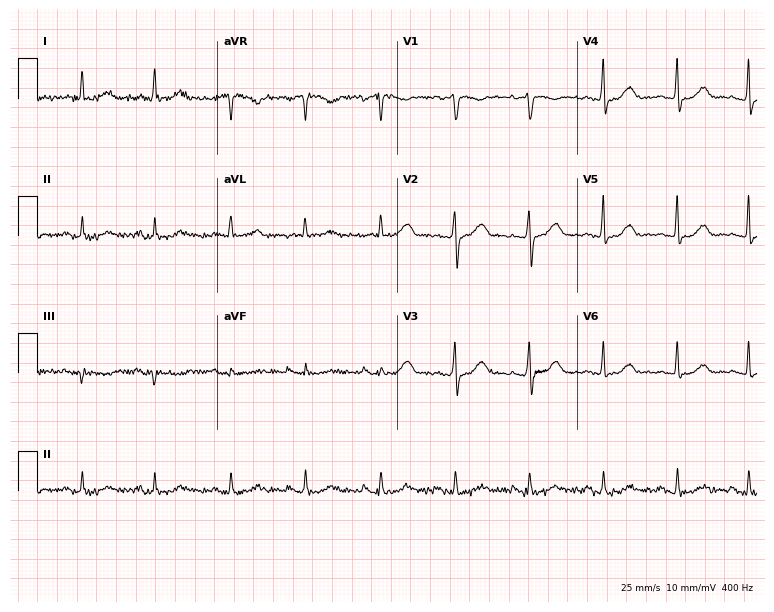
Standard 12-lead ECG recorded from a male, 82 years old (7.3-second recording at 400 Hz). Read as a normal ECG.